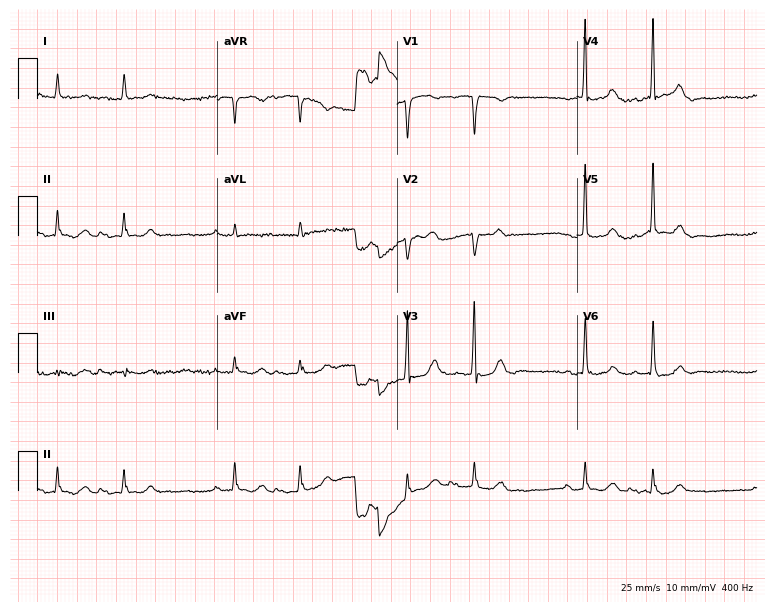
12-lead ECG (7.3-second recording at 400 Hz) from a 75-year-old man. Screened for six findings — first-degree AV block, right bundle branch block (RBBB), left bundle branch block (LBBB), sinus bradycardia, atrial fibrillation (AF), sinus tachycardia — none is recorded.